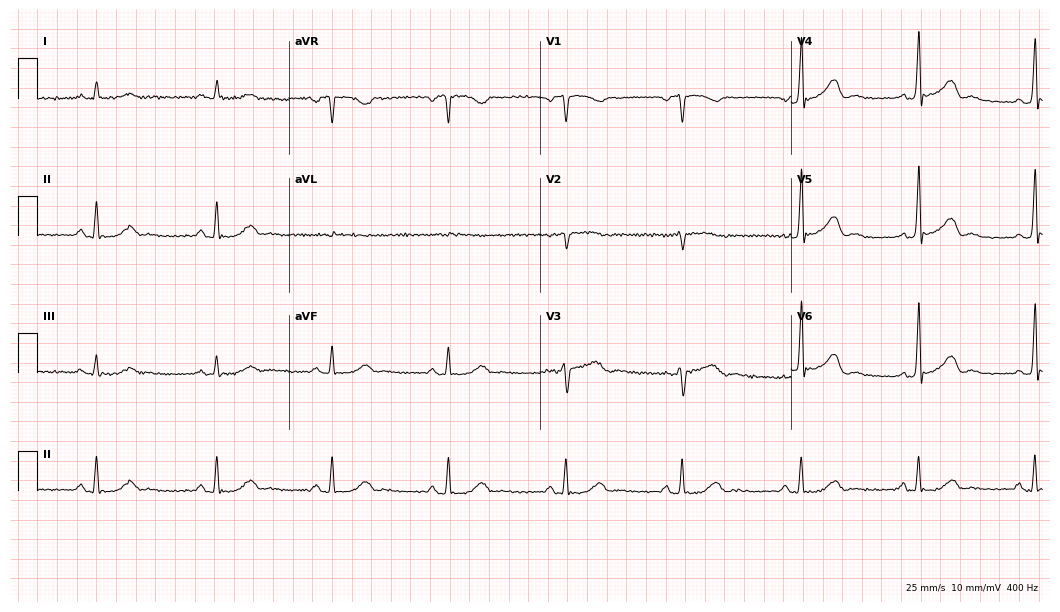
Standard 12-lead ECG recorded from a man, 21 years old. Read as a normal ECG.